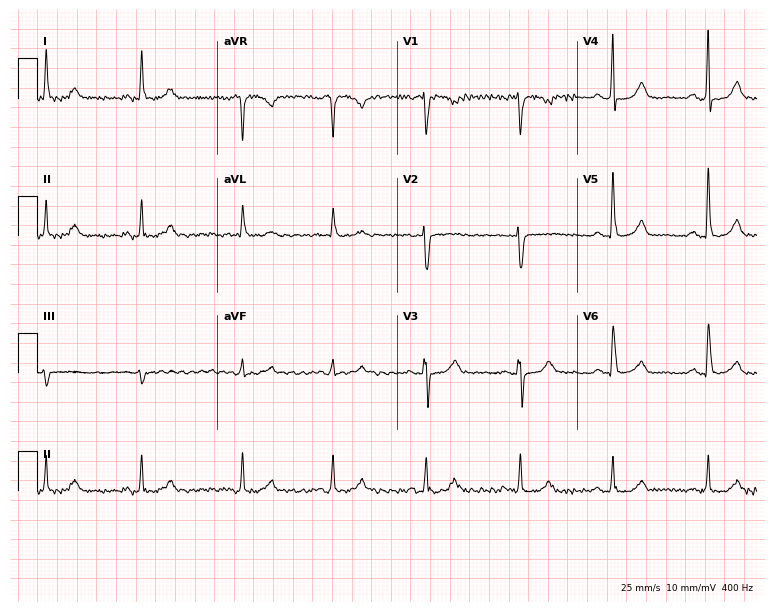
Electrocardiogram (7.3-second recording at 400 Hz), a 78-year-old female. Overall reading on record: normal ECG.